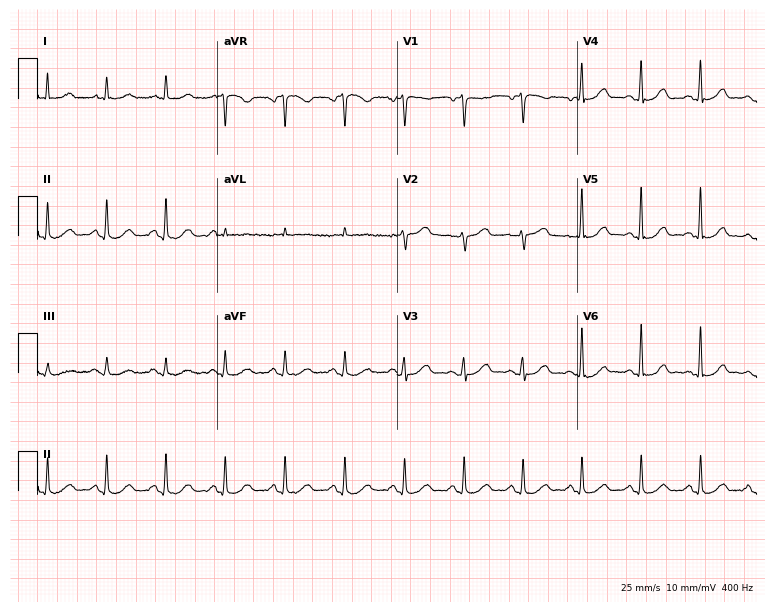
Resting 12-lead electrocardiogram (7.3-second recording at 400 Hz). Patient: a 56-year-old female. None of these six findings is recorded: first-degree AV block, right bundle branch block, left bundle branch block, sinus bradycardia, atrial fibrillation, sinus tachycardia. Other findings, if any, are not listed.